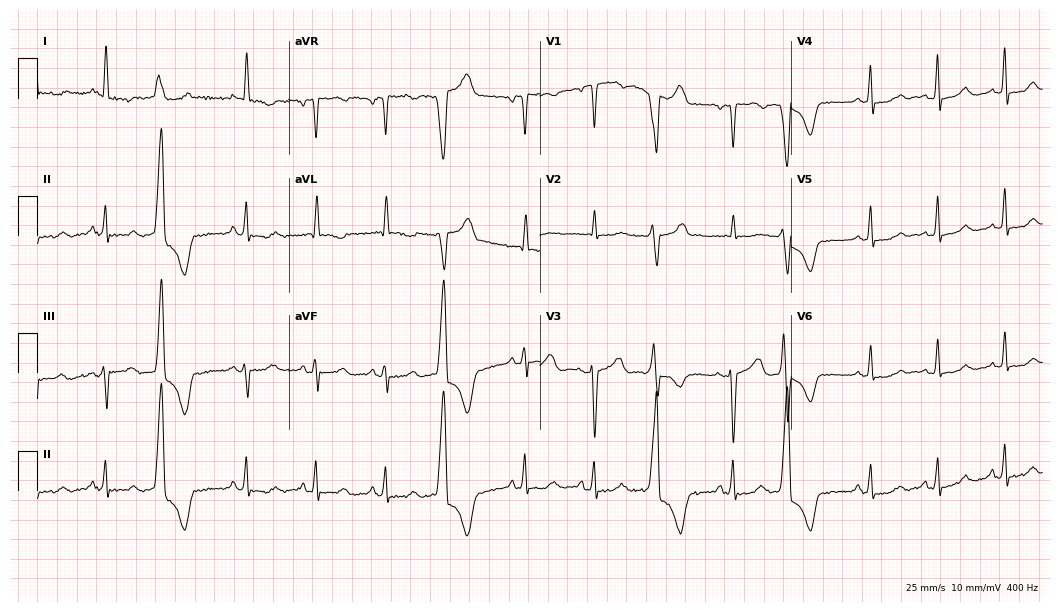
12-lead ECG (10.2-second recording at 400 Hz) from a 64-year-old female. Screened for six findings — first-degree AV block, right bundle branch block, left bundle branch block, sinus bradycardia, atrial fibrillation, sinus tachycardia — none is recorded.